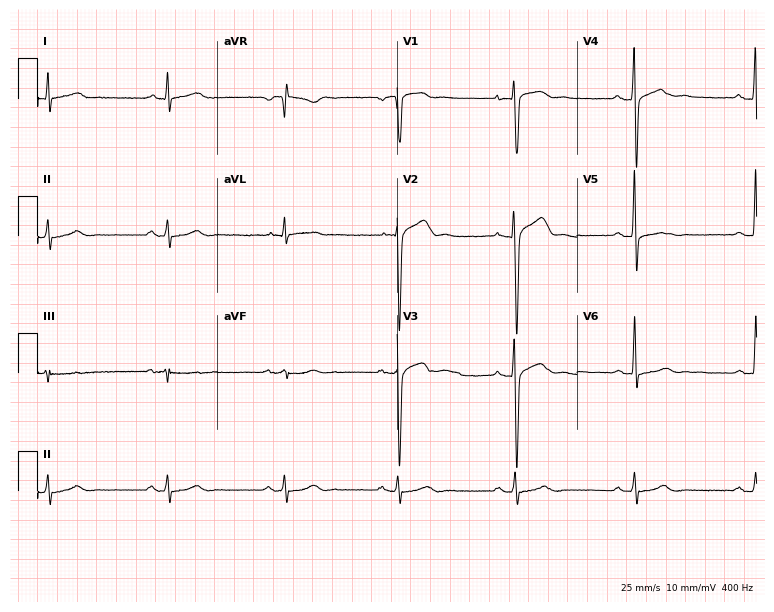
ECG — a 46-year-old man. Findings include sinus bradycardia (a sinus rate of 50 beats per minute or less).